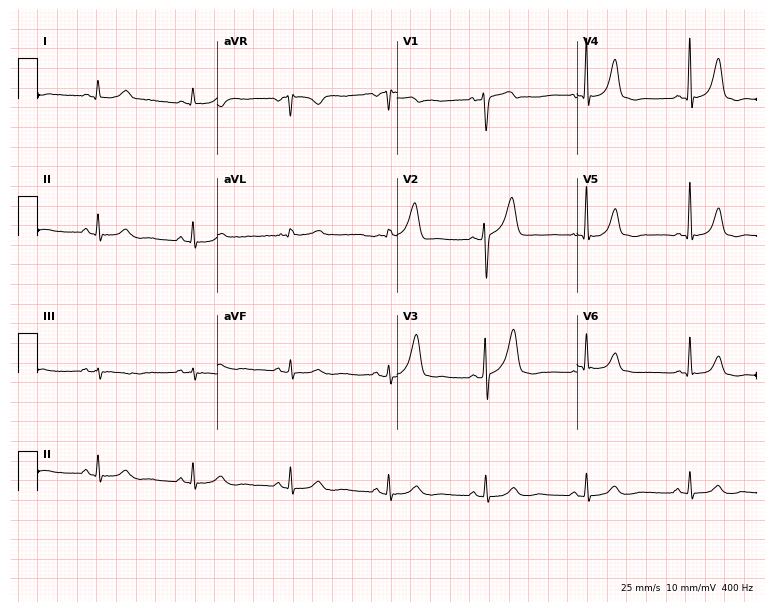
ECG (7.3-second recording at 400 Hz) — a male, 75 years old. Screened for six findings — first-degree AV block, right bundle branch block, left bundle branch block, sinus bradycardia, atrial fibrillation, sinus tachycardia — none is recorded.